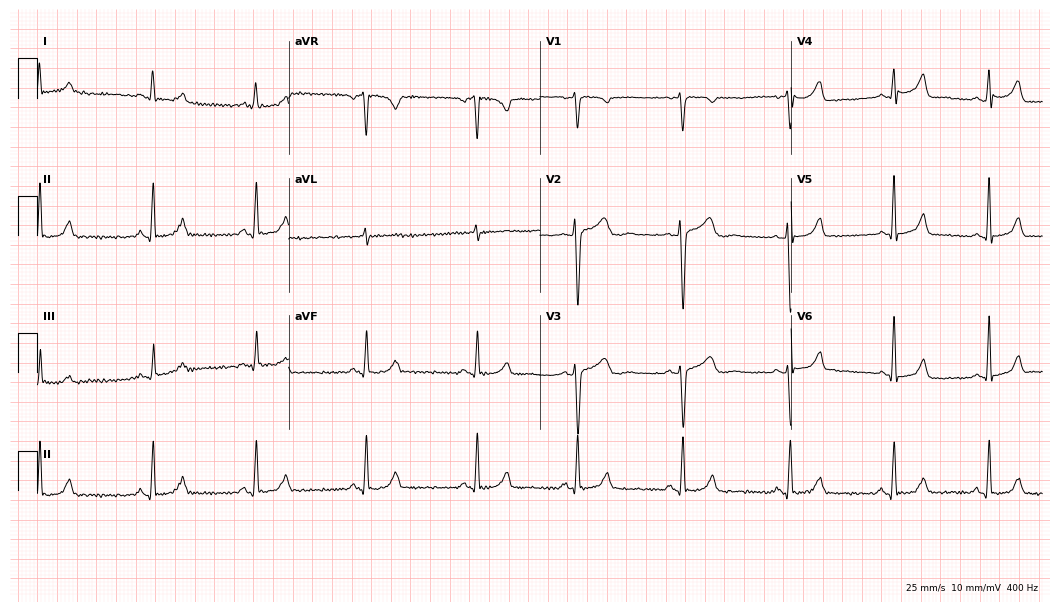
ECG (10.2-second recording at 400 Hz) — a woman, 38 years old. Labelled as a normal ECG.